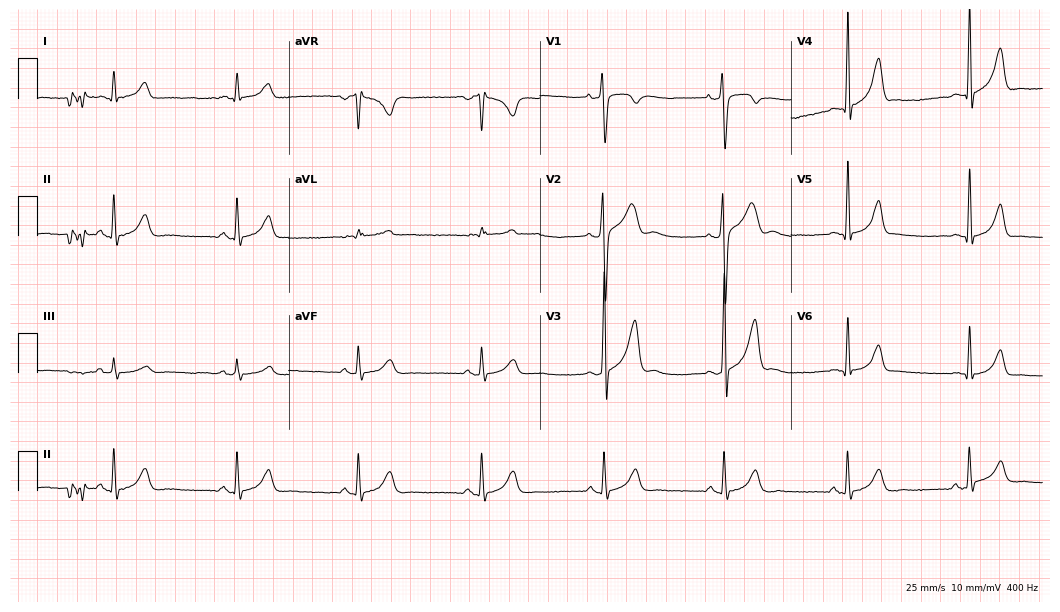
Electrocardiogram, a man, 39 years old. Of the six screened findings (first-degree AV block, right bundle branch block (RBBB), left bundle branch block (LBBB), sinus bradycardia, atrial fibrillation (AF), sinus tachycardia), none is recorded. Other findings, if any, are not listed.